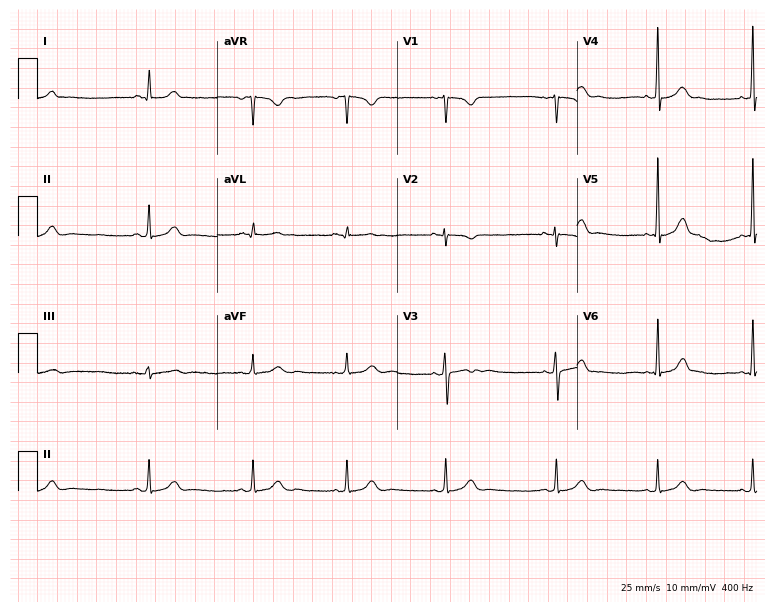
12-lead ECG from a female patient, 17 years old. No first-degree AV block, right bundle branch block, left bundle branch block, sinus bradycardia, atrial fibrillation or sinus tachycardia recorded for this tracing. Only these six findings were labelled.